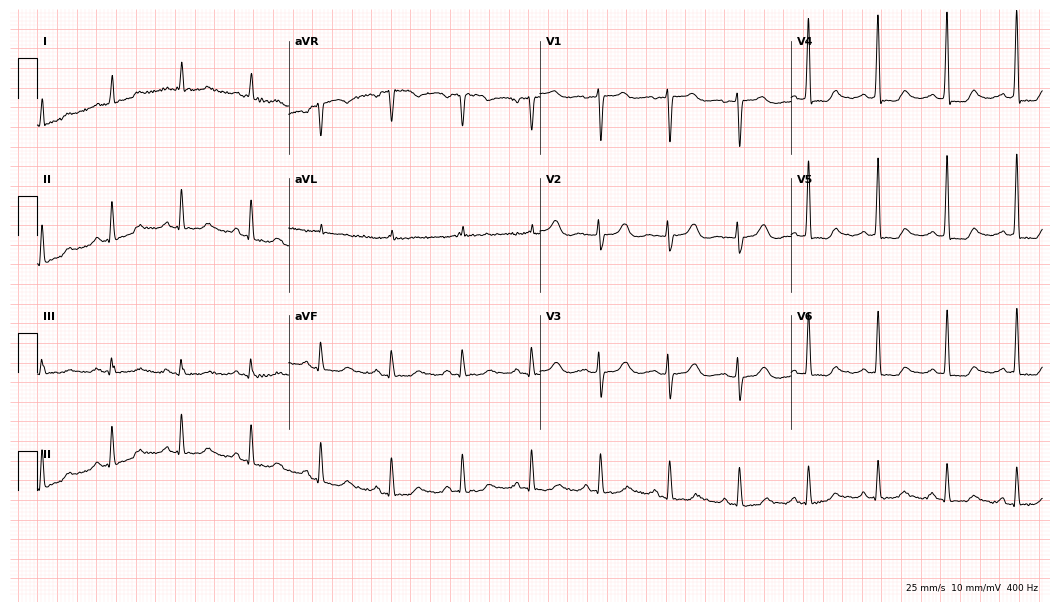
Electrocardiogram (10.2-second recording at 400 Hz), an 83-year-old woman. Of the six screened findings (first-degree AV block, right bundle branch block, left bundle branch block, sinus bradycardia, atrial fibrillation, sinus tachycardia), none is recorded.